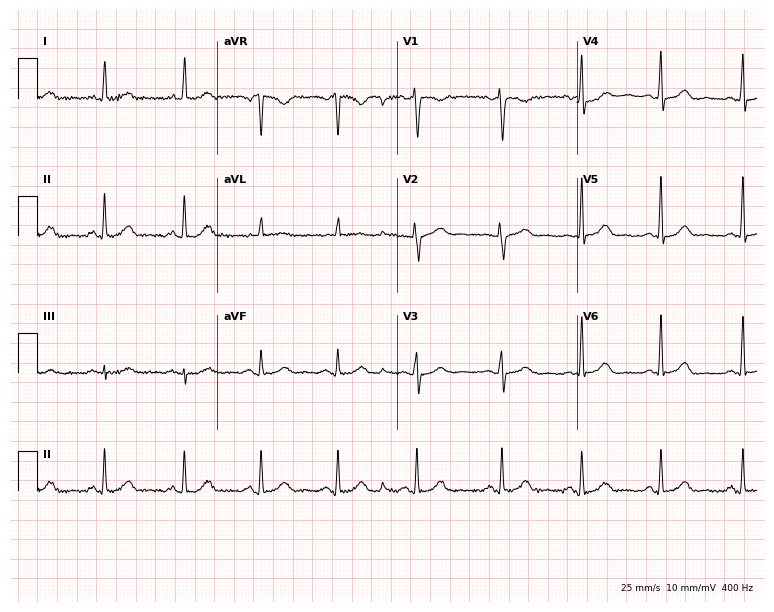
Electrocardiogram, a female patient, 53 years old. Of the six screened findings (first-degree AV block, right bundle branch block (RBBB), left bundle branch block (LBBB), sinus bradycardia, atrial fibrillation (AF), sinus tachycardia), none is recorded.